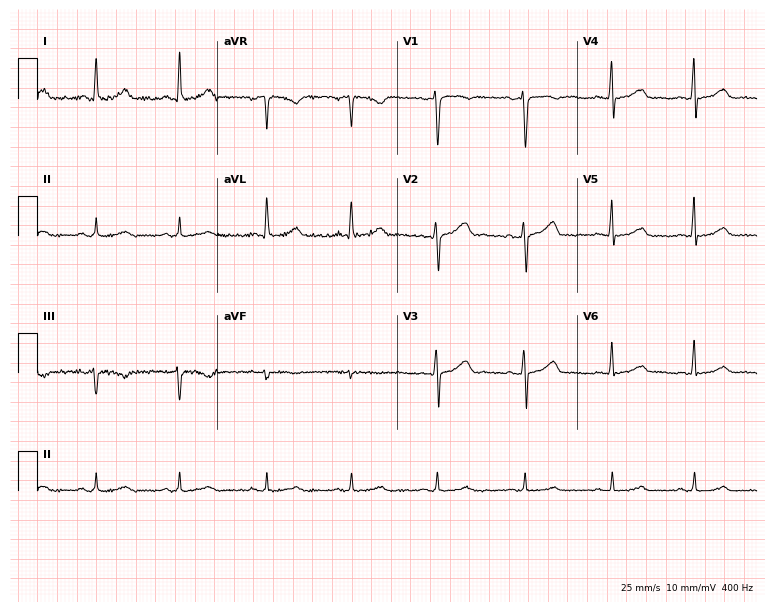
12-lead ECG from a 45-year-old female patient. Screened for six findings — first-degree AV block, right bundle branch block, left bundle branch block, sinus bradycardia, atrial fibrillation, sinus tachycardia — none is recorded. Other findings, if any, are not listed.